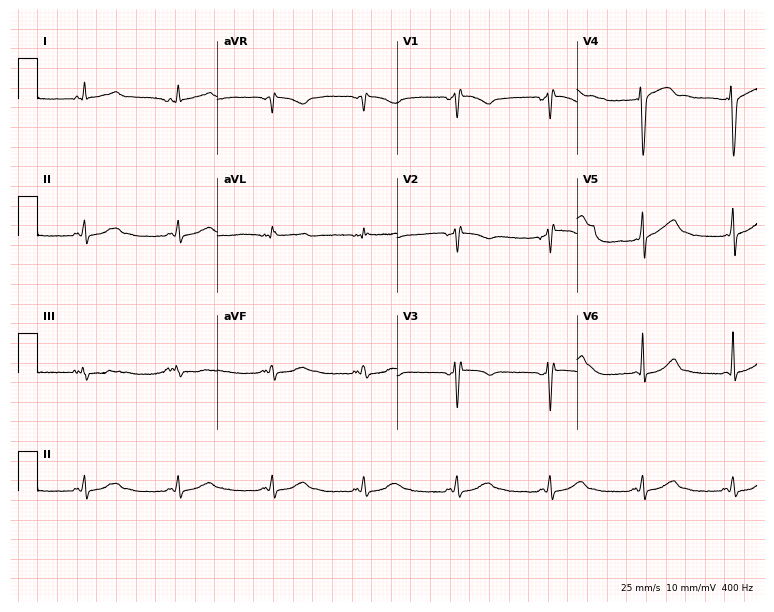
12-lead ECG from a 36-year-old female. Screened for six findings — first-degree AV block, right bundle branch block, left bundle branch block, sinus bradycardia, atrial fibrillation, sinus tachycardia — none is recorded.